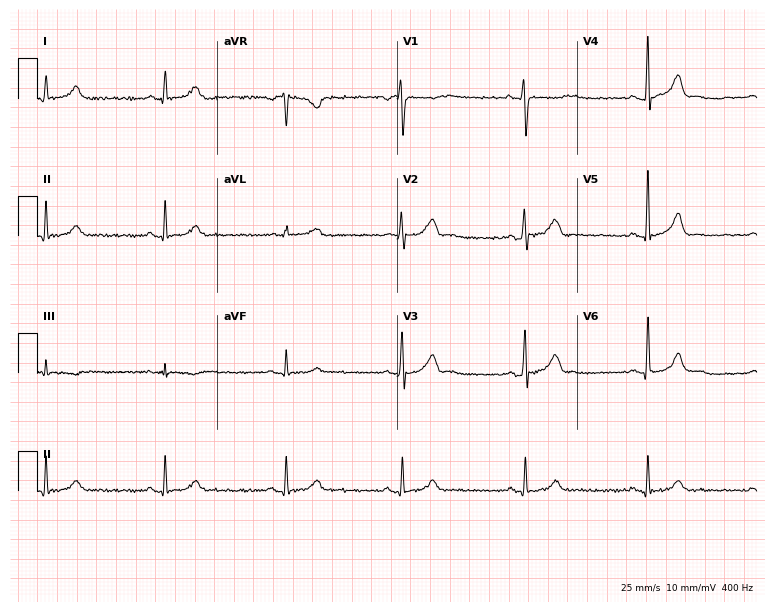
12-lead ECG from a 30-year-old male. Shows sinus bradycardia (a sinus rate of 50 beats per minute or less).